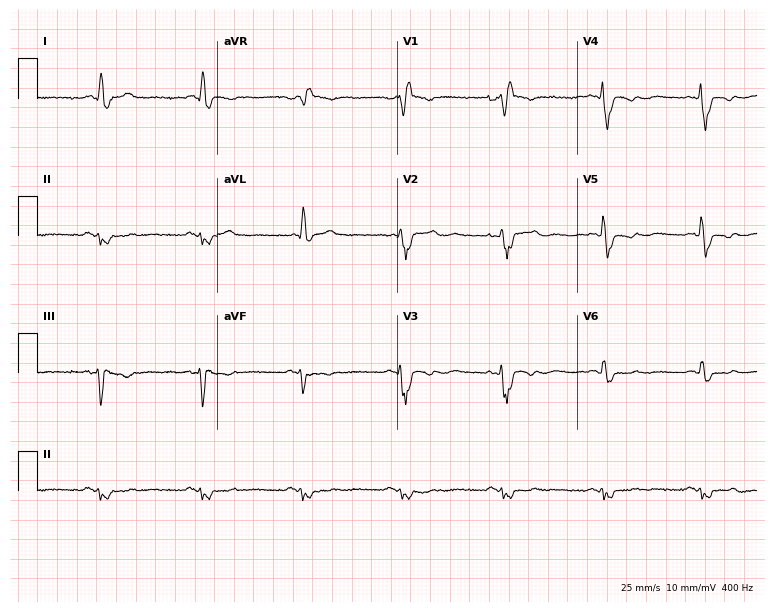
12-lead ECG from a male, 54 years old. Findings include right bundle branch block.